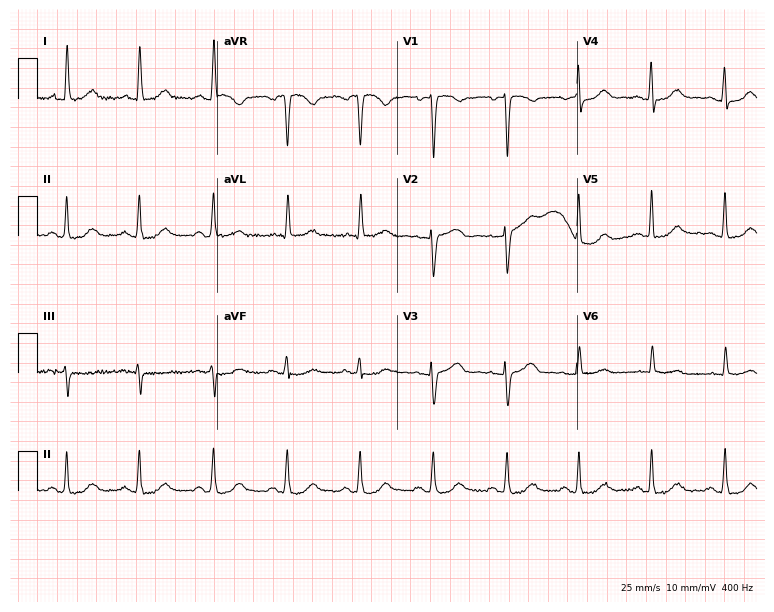
12-lead ECG (7.3-second recording at 400 Hz) from a female patient, 67 years old. Labelled as a normal ECG.